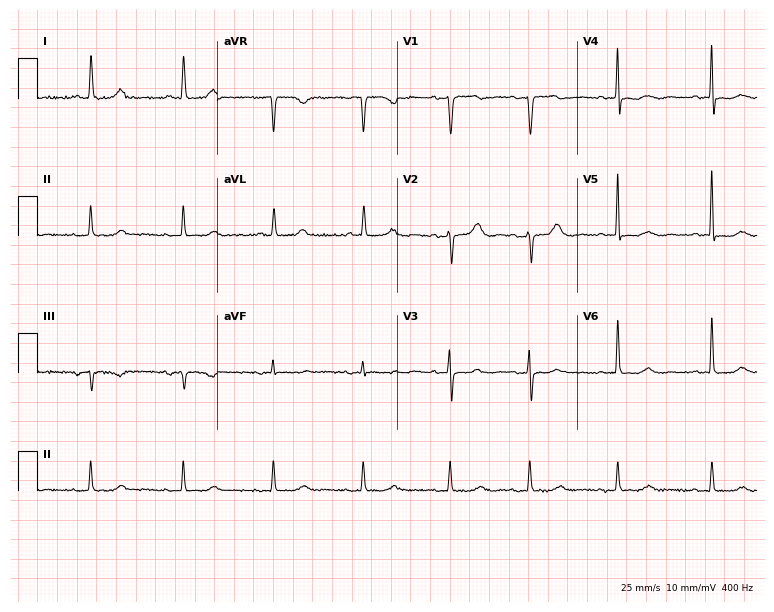
Electrocardiogram (7.3-second recording at 400 Hz), an 80-year-old female patient. Of the six screened findings (first-degree AV block, right bundle branch block, left bundle branch block, sinus bradycardia, atrial fibrillation, sinus tachycardia), none is recorded.